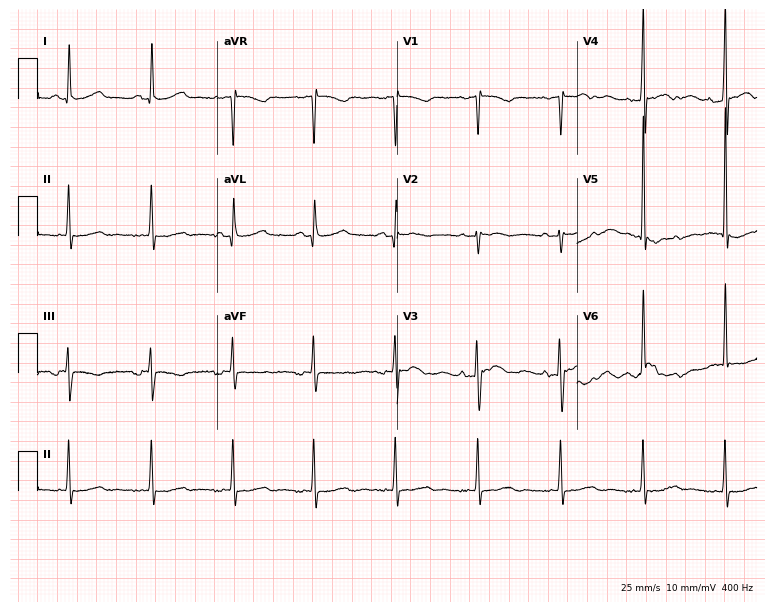
ECG (7.3-second recording at 400 Hz) — a female patient, 72 years old. Screened for six findings — first-degree AV block, right bundle branch block, left bundle branch block, sinus bradycardia, atrial fibrillation, sinus tachycardia — none is recorded.